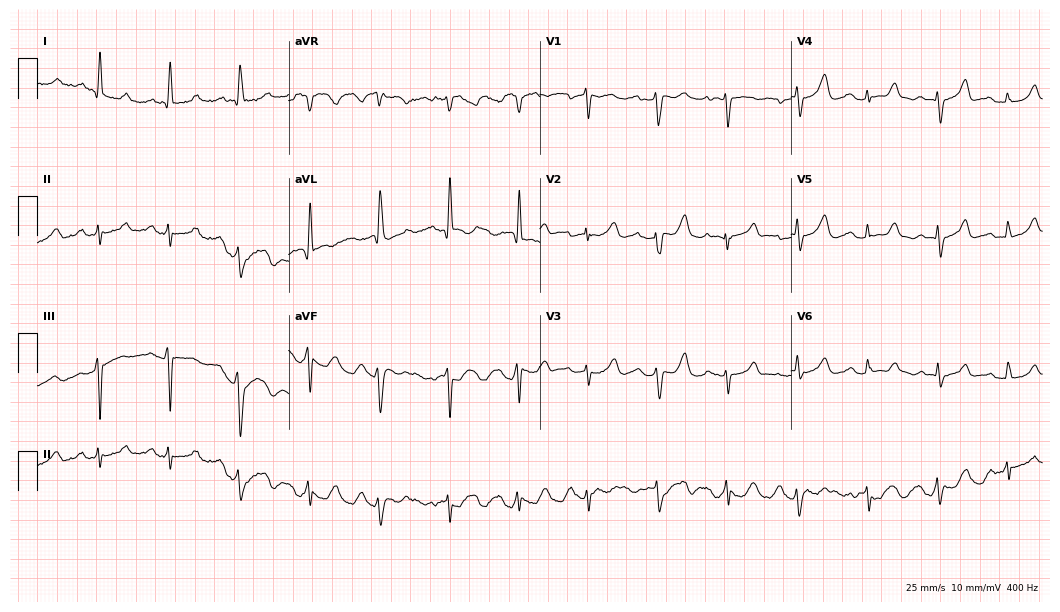
12-lead ECG (10.2-second recording at 400 Hz) from a female, 62 years old. Screened for six findings — first-degree AV block, right bundle branch block, left bundle branch block, sinus bradycardia, atrial fibrillation, sinus tachycardia — none is recorded. Findings outside these six are not listed.